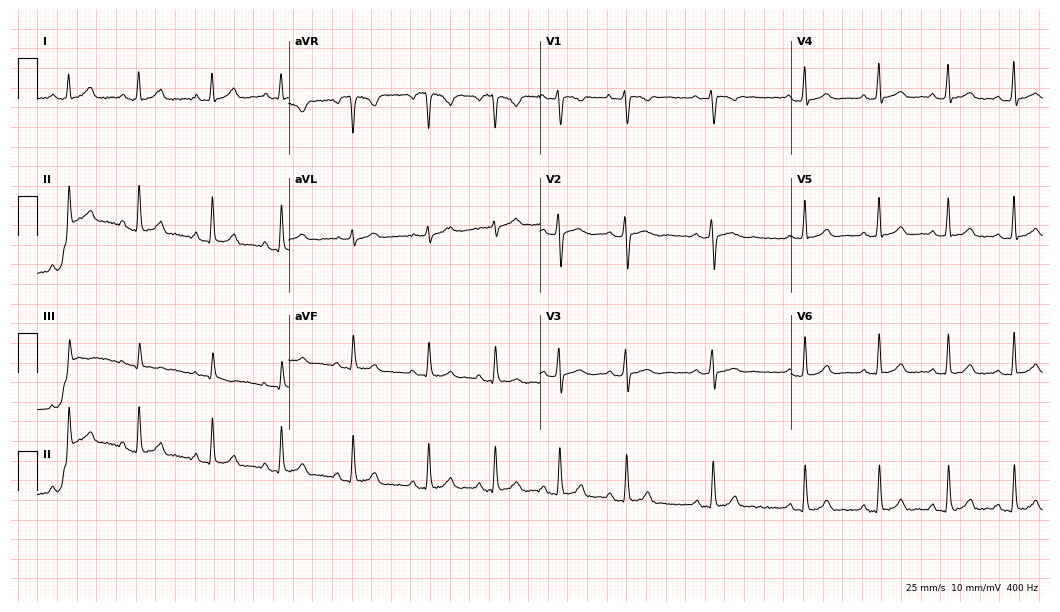
Electrocardiogram (10.2-second recording at 400 Hz), a female, 20 years old. Of the six screened findings (first-degree AV block, right bundle branch block (RBBB), left bundle branch block (LBBB), sinus bradycardia, atrial fibrillation (AF), sinus tachycardia), none is recorded.